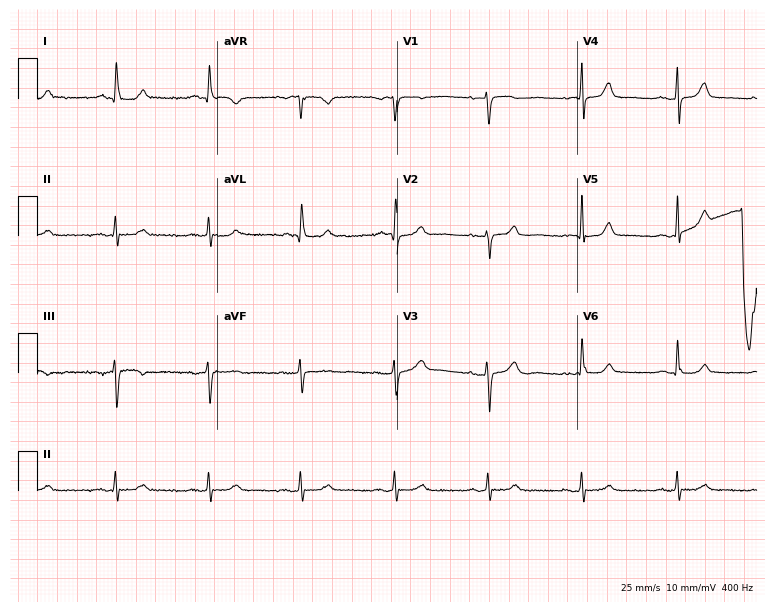
Electrocardiogram (7.3-second recording at 400 Hz), a 68-year-old woman. Overall reading on record: normal ECG.